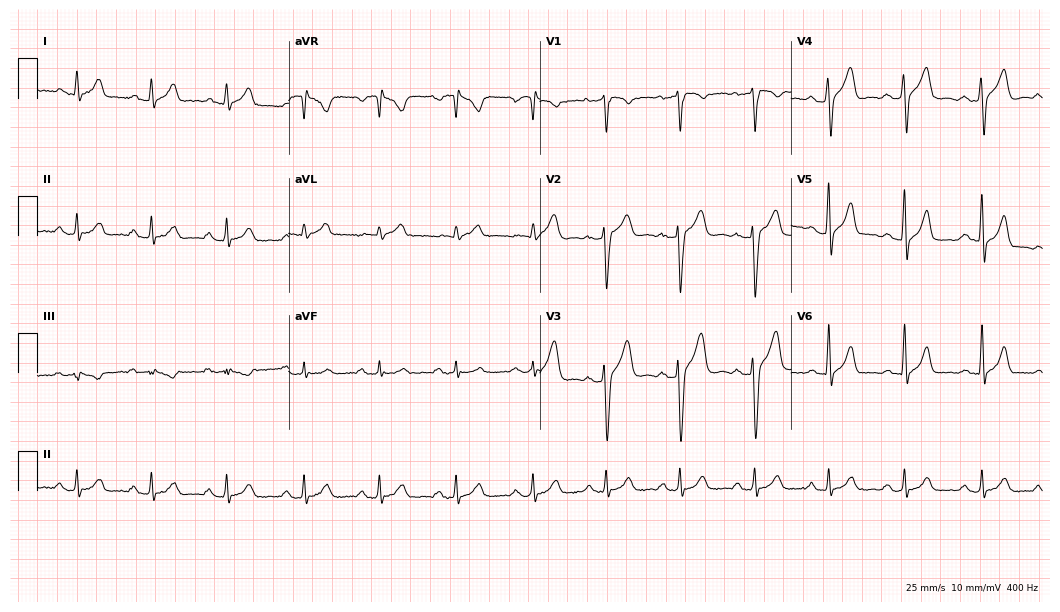
Electrocardiogram (10.2-second recording at 400 Hz), a male, 27 years old. Overall reading on record: normal ECG.